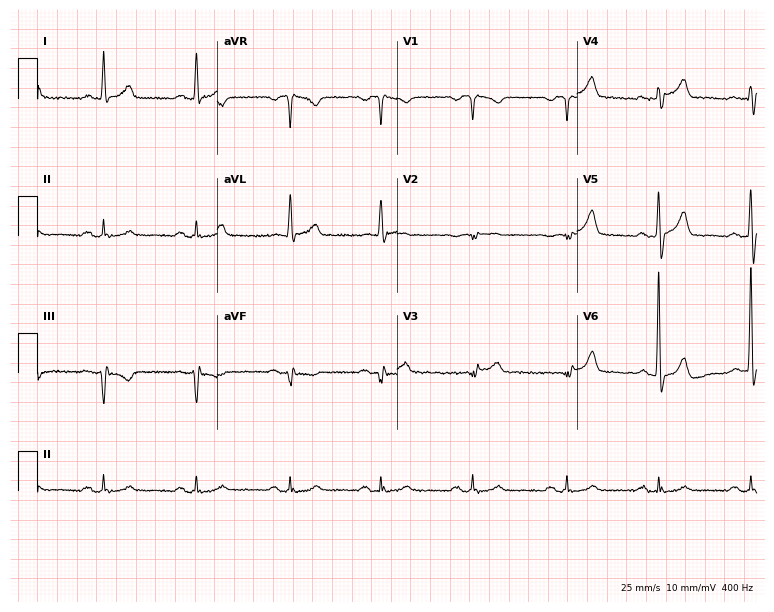
12-lead ECG from a 63-year-old man. Labelled as a normal ECG.